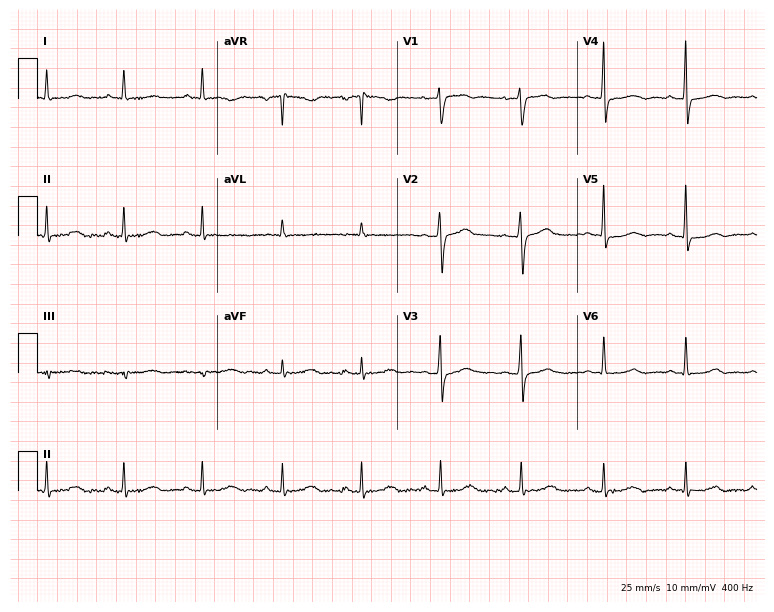
Standard 12-lead ECG recorded from a female patient, 53 years old (7.3-second recording at 400 Hz). None of these six findings is recorded: first-degree AV block, right bundle branch block, left bundle branch block, sinus bradycardia, atrial fibrillation, sinus tachycardia.